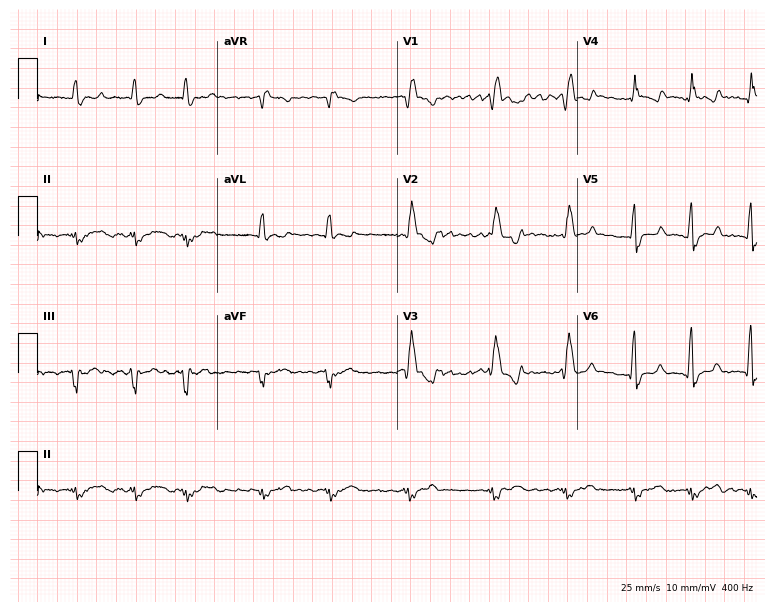
12-lead ECG from a 58-year-old male patient. Findings include right bundle branch block, atrial fibrillation.